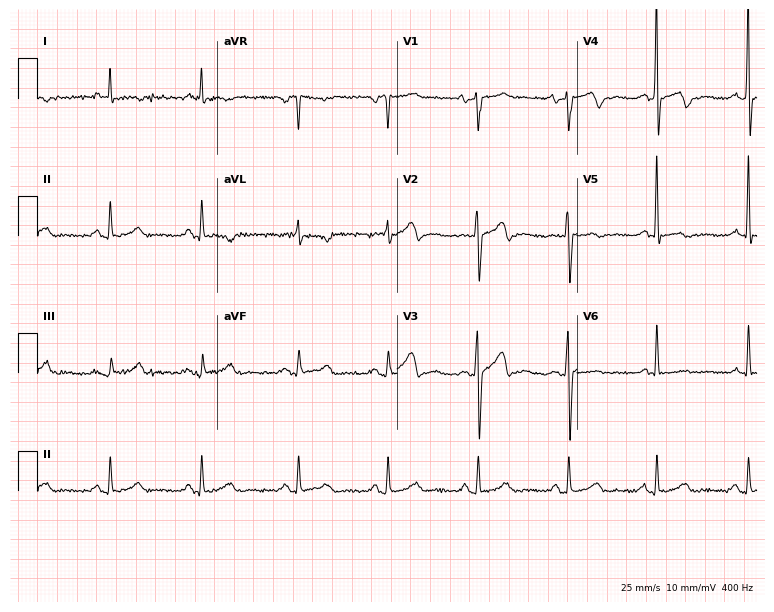
Electrocardiogram (7.3-second recording at 400 Hz), a 55-year-old male patient. Of the six screened findings (first-degree AV block, right bundle branch block (RBBB), left bundle branch block (LBBB), sinus bradycardia, atrial fibrillation (AF), sinus tachycardia), none is recorded.